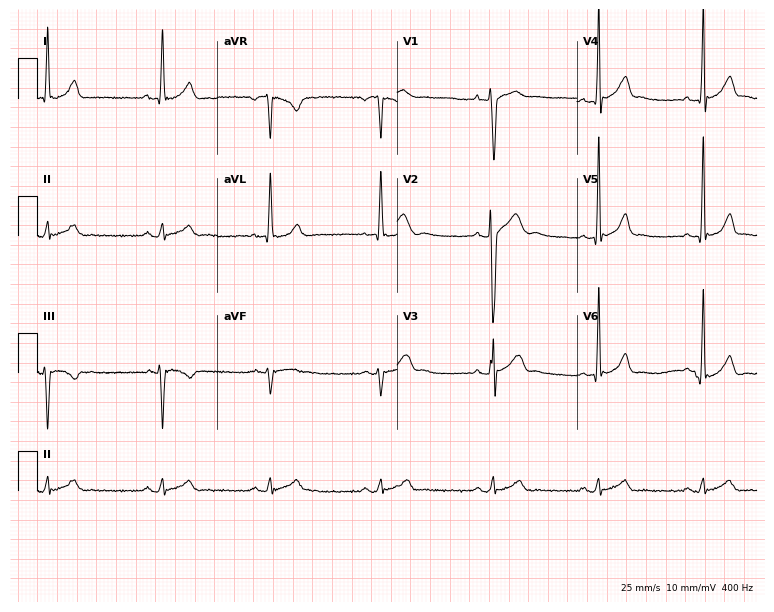
Electrocardiogram, a male patient, 21 years old. Overall reading on record: normal ECG.